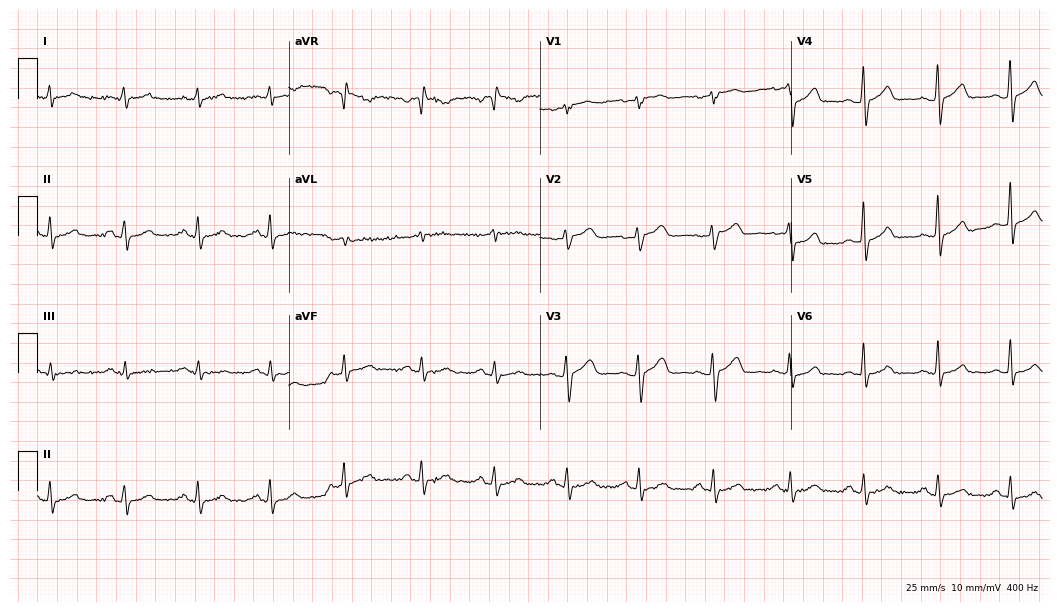
ECG (10.2-second recording at 400 Hz) — a 41-year-old female. Labelled as a normal ECG.